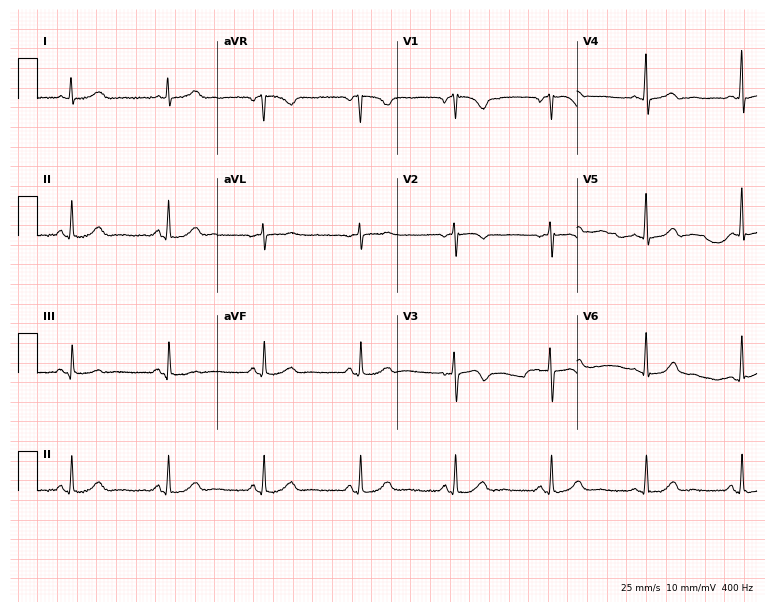
12-lead ECG from a 53-year-old female patient. No first-degree AV block, right bundle branch block, left bundle branch block, sinus bradycardia, atrial fibrillation or sinus tachycardia recorded for this tracing. Findings outside these six are not listed.